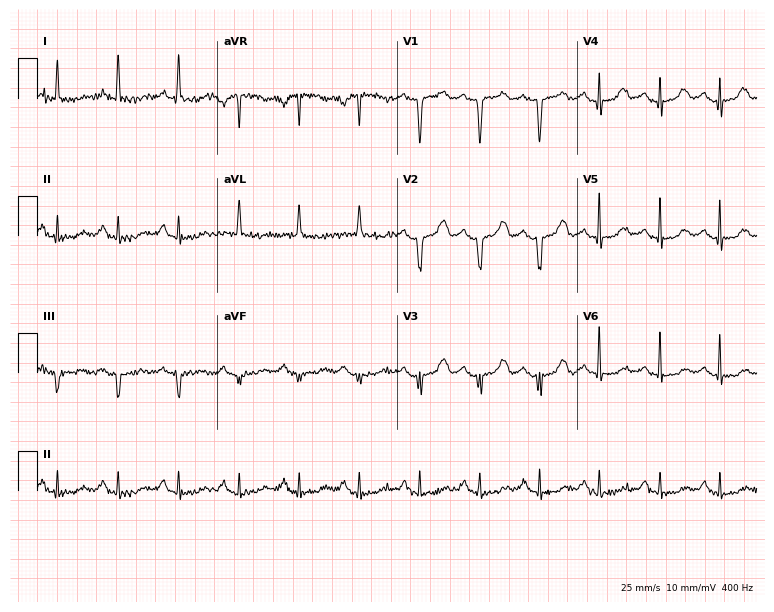
Resting 12-lead electrocardiogram (7.3-second recording at 400 Hz). Patient: a 42-year-old female. None of these six findings is recorded: first-degree AV block, right bundle branch block, left bundle branch block, sinus bradycardia, atrial fibrillation, sinus tachycardia.